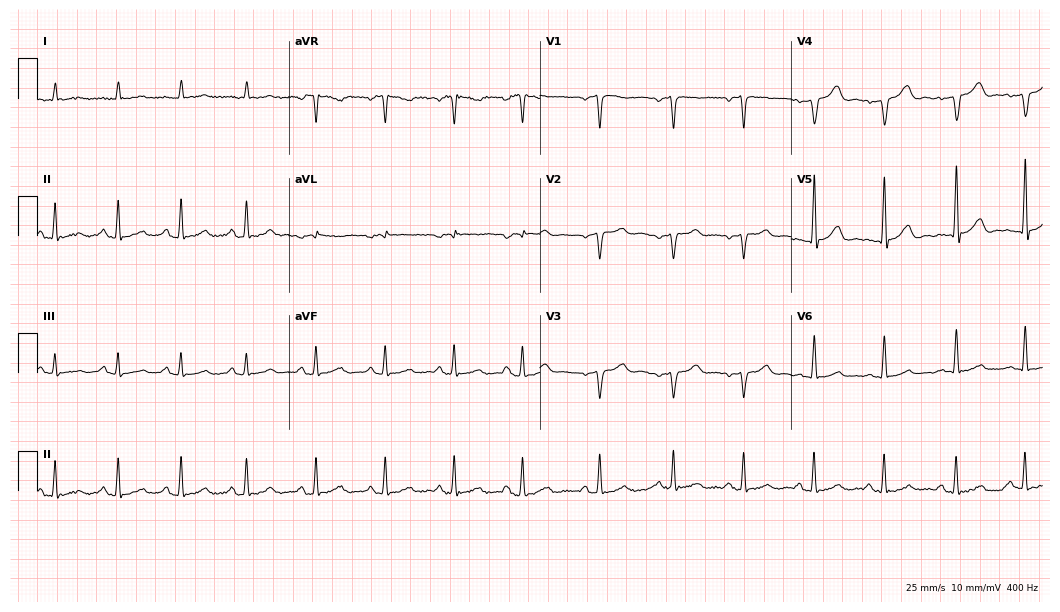
Resting 12-lead electrocardiogram (10.2-second recording at 400 Hz). Patient: a 63-year-old man. None of these six findings is recorded: first-degree AV block, right bundle branch block, left bundle branch block, sinus bradycardia, atrial fibrillation, sinus tachycardia. Only these six findings were labelled.